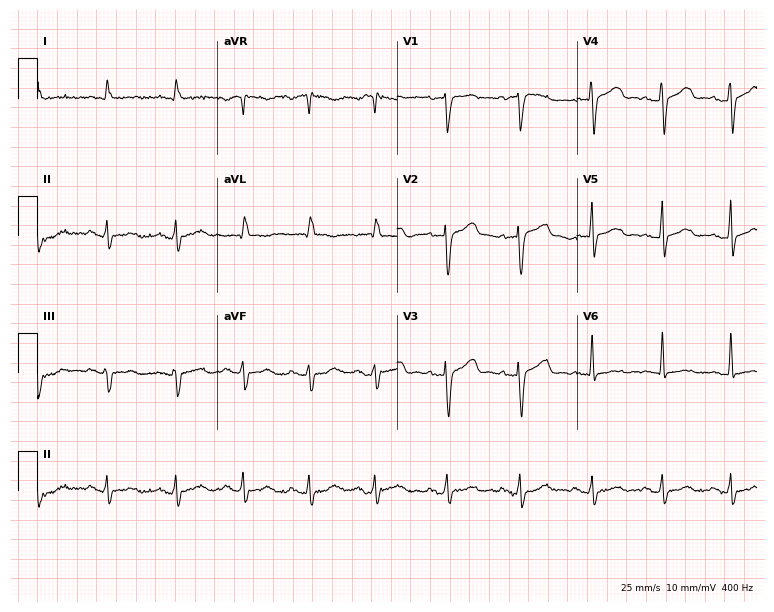
12-lead ECG from a male patient, 77 years old. Screened for six findings — first-degree AV block, right bundle branch block, left bundle branch block, sinus bradycardia, atrial fibrillation, sinus tachycardia — none is recorded. Findings outside these six are not listed.